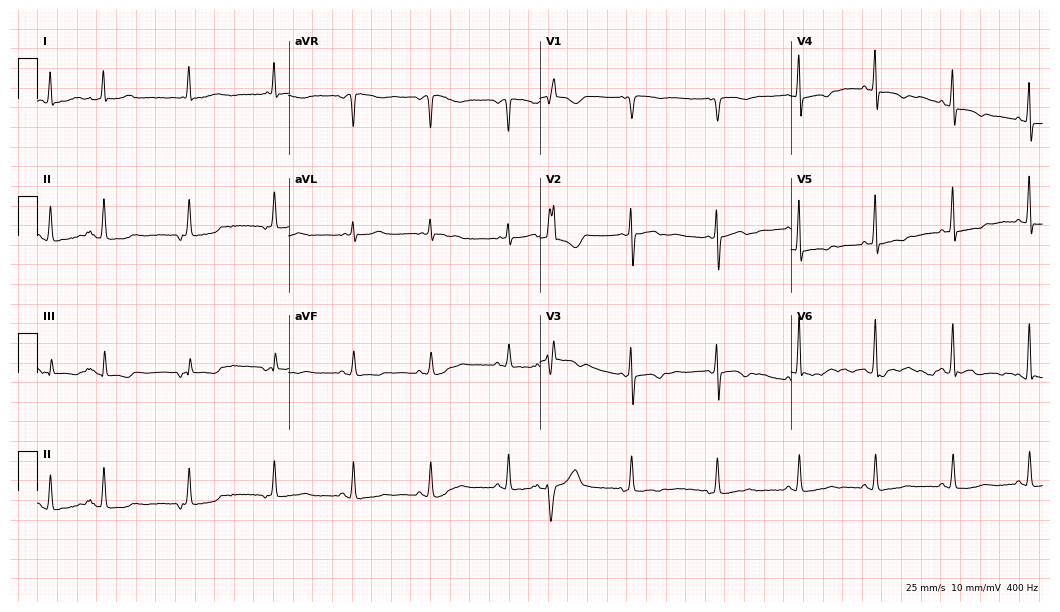
Electrocardiogram (10.2-second recording at 400 Hz), an 81-year-old woman. Of the six screened findings (first-degree AV block, right bundle branch block, left bundle branch block, sinus bradycardia, atrial fibrillation, sinus tachycardia), none is recorded.